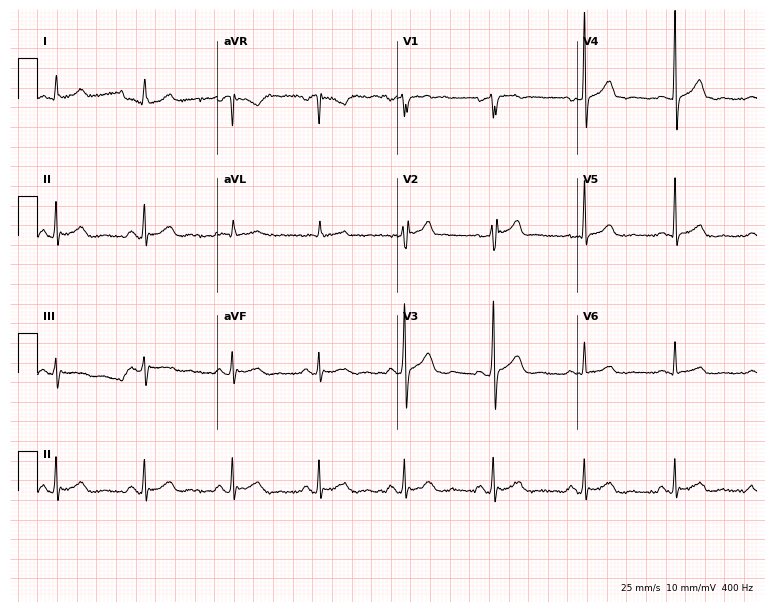
12-lead ECG from a male, 51 years old (7.3-second recording at 400 Hz). Recorded interpretation: within normal limits.